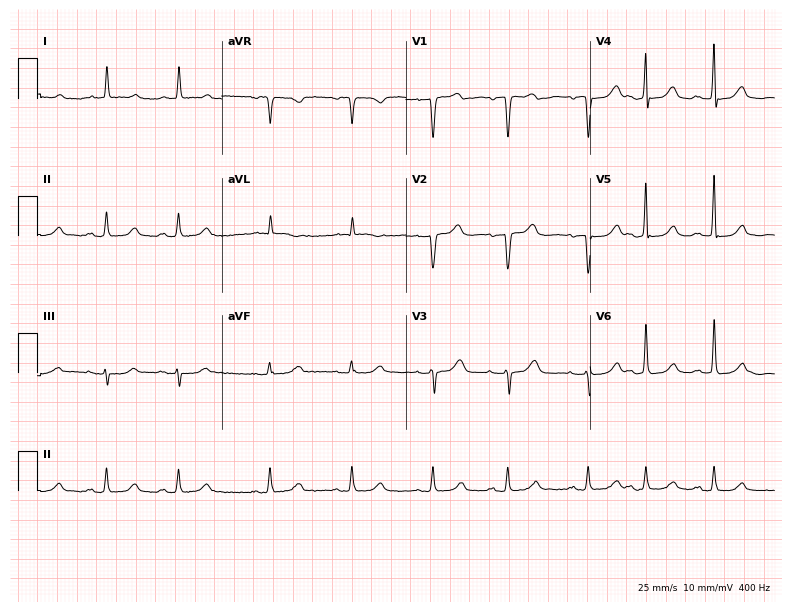
12-lead ECG from a 76-year-old female patient. Screened for six findings — first-degree AV block, right bundle branch block, left bundle branch block, sinus bradycardia, atrial fibrillation, sinus tachycardia — none is recorded.